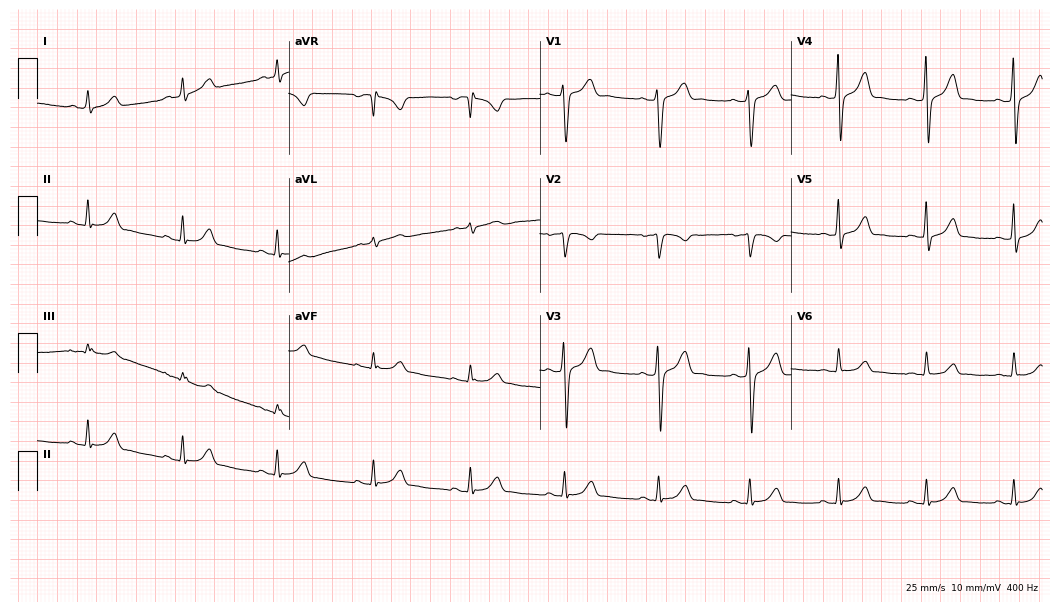
ECG (10.2-second recording at 400 Hz) — a 45-year-old man. Labelled as a normal ECG.